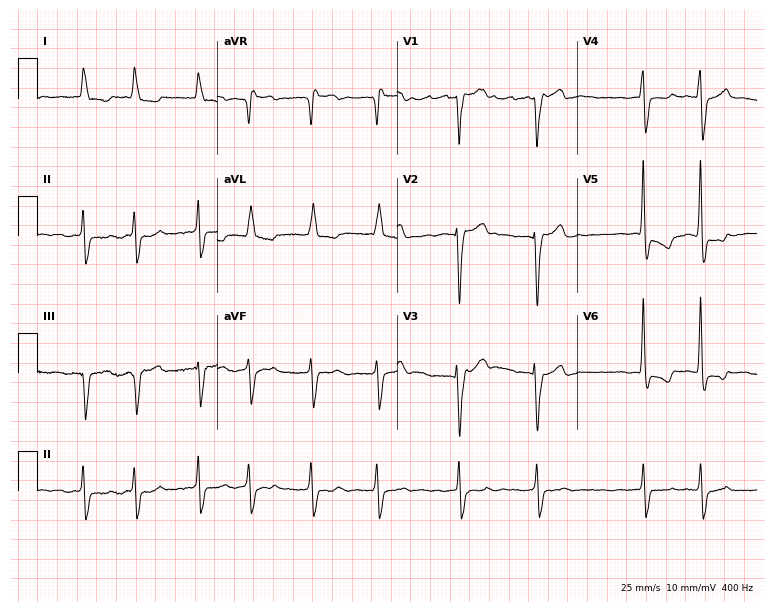
Electrocardiogram, a female patient, 62 years old. Interpretation includes atrial fibrillation (AF).